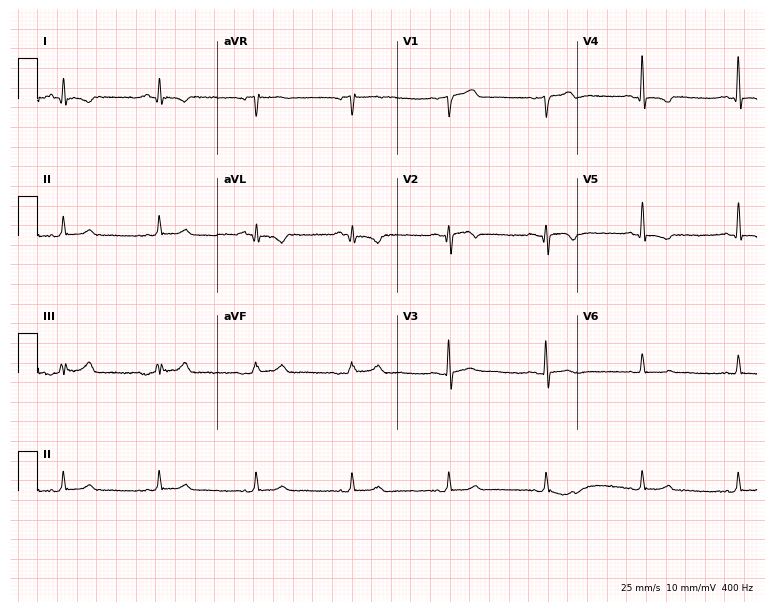
Electrocardiogram (7.3-second recording at 400 Hz), a 62-year-old male. Of the six screened findings (first-degree AV block, right bundle branch block (RBBB), left bundle branch block (LBBB), sinus bradycardia, atrial fibrillation (AF), sinus tachycardia), none is recorded.